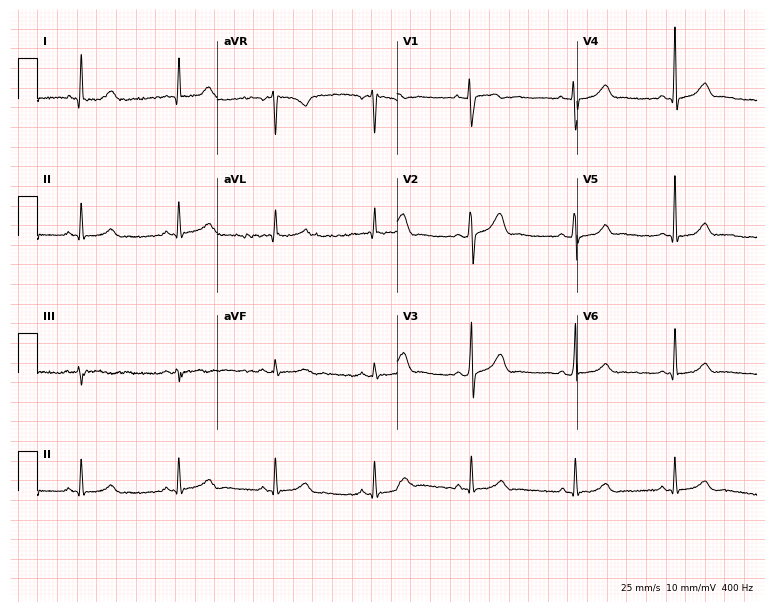
Electrocardiogram (7.3-second recording at 400 Hz), a woman, 26 years old. Of the six screened findings (first-degree AV block, right bundle branch block, left bundle branch block, sinus bradycardia, atrial fibrillation, sinus tachycardia), none is recorded.